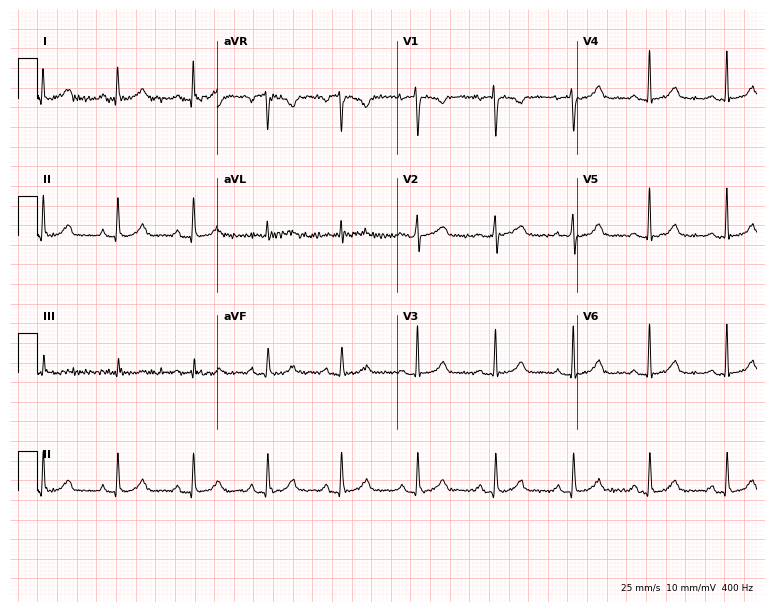
Resting 12-lead electrocardiogram. Patient: a female, 41 years old. None of these six findings is recorded: first-degree AV block, right bundle branch block, left bundle branch block, sinus bradycardia, atrial fibrillation, sinus tachycardia.